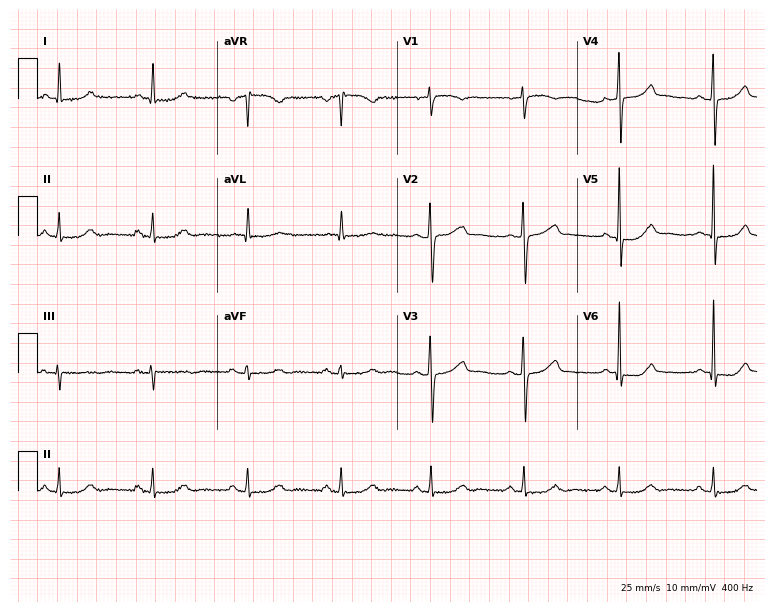
12-lead ECG from a 67-year-old female patient (7.3-second recording at 400 Hz). Recorded interpretation: within normal limits.